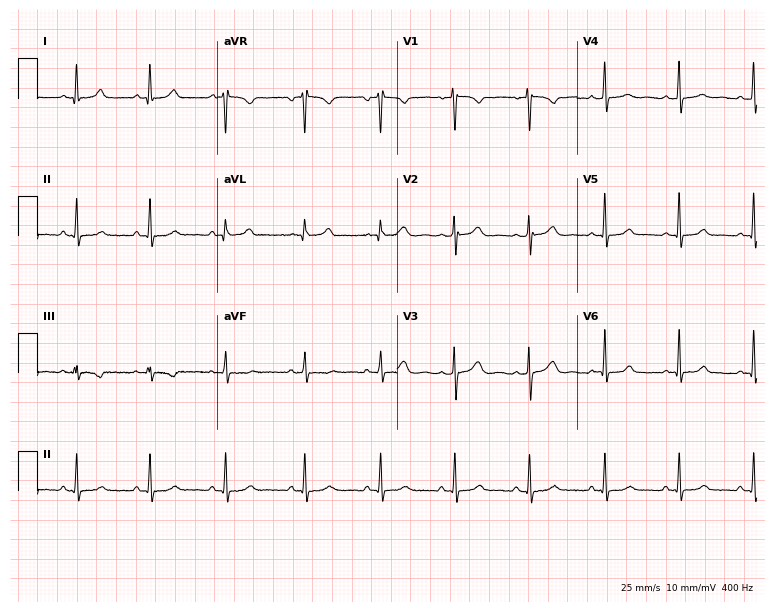
12-lead ECG (7.3-second recording at 400 Hz) from a 25-year-old female. Labelled as a normal ECG.